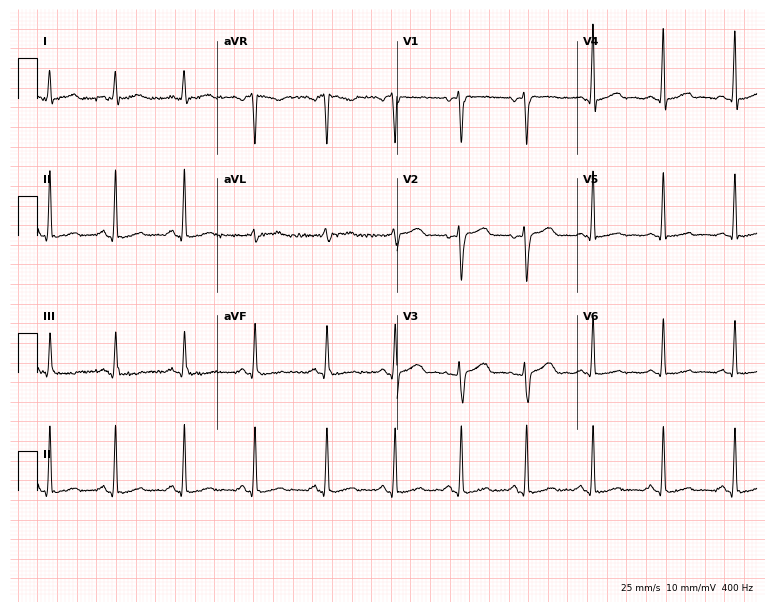
ECG (7.3-second recording at 400 Hz) — a woman, 25 years old. Labelled as a normal ECG.